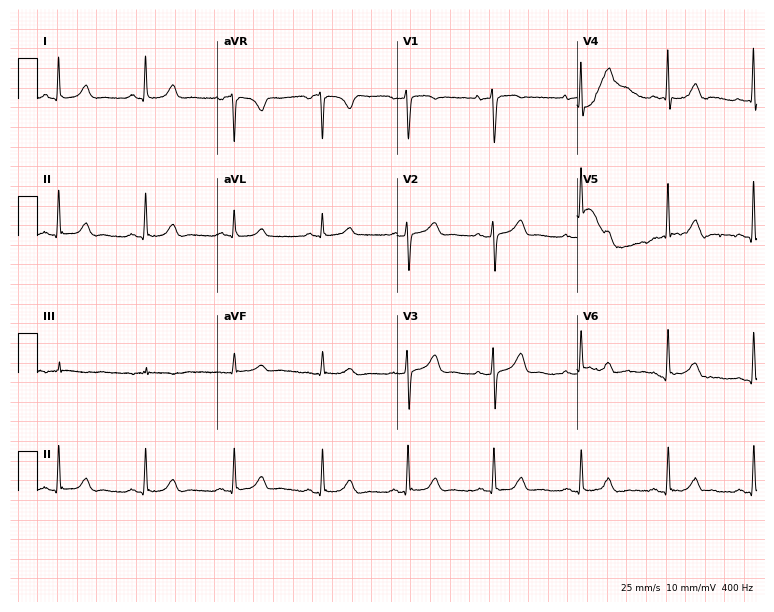
Resting 12-lead electrocardiogram (7.3-second recording at 400 Hz). Patient: a 60-year-old woman. Read as a normal ECG.